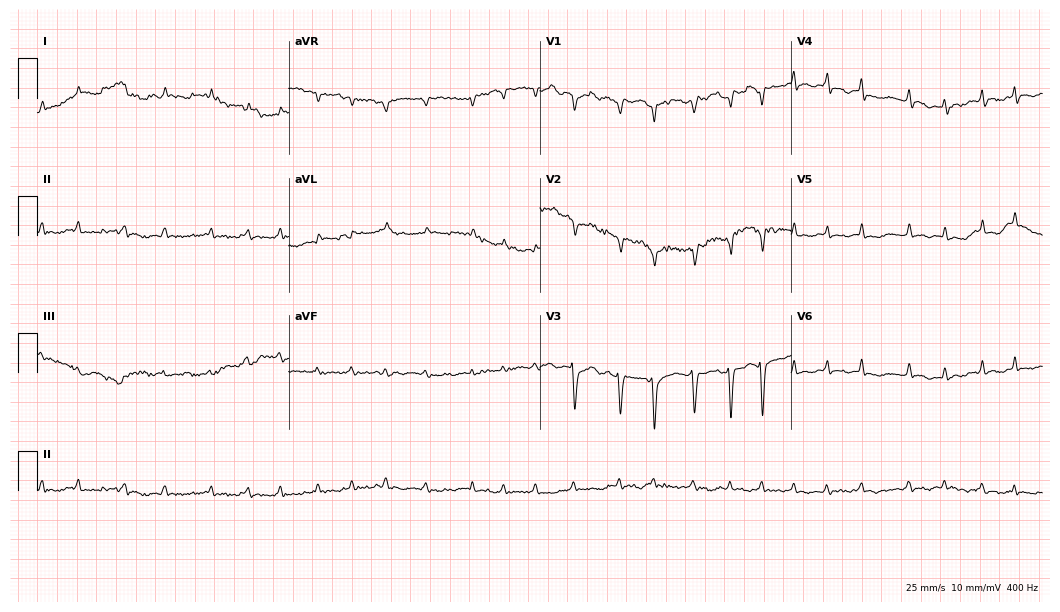
ECG — a female patient, 84 years old. Findings include atrial fibrillation.